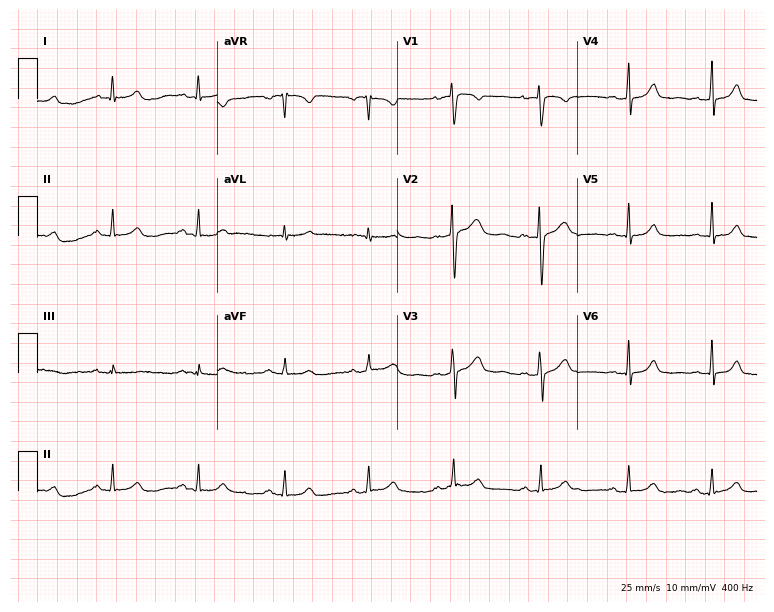
Standard 12-lead ECG recorded from a female patient, 33 years old (7.3-second recording at 400 Hz). None of these six findings is recorded: first-degree AV block, right bundle branch block (RBBB), left bundle branch block (LBBB), sinus bradycardia, atrial fibrillation (AF), sinus tachycardia. Findings outside these six are not listed.